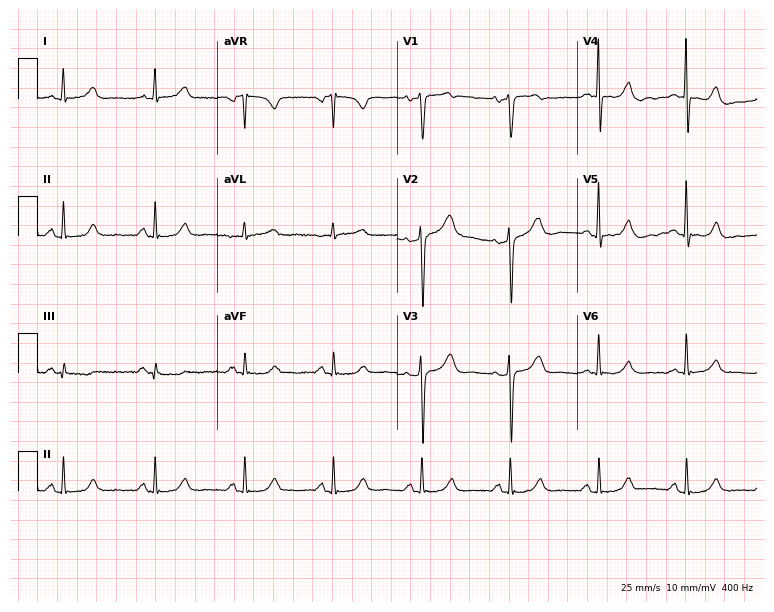
ECG — a female patient, 53 years old. Screened for six findings — first-degree AV block, right bundle branch block, left bundle branch block, sinus bradycardia, atrial fibrillation, sinus tachycardia — none is recorded.